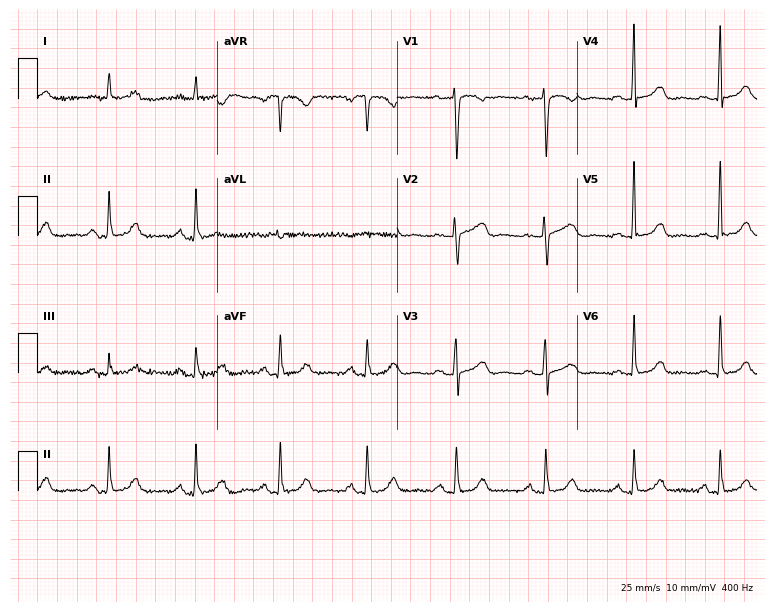
ECG (7.3-second recording at 400 Hz) — a female patient, 70 years old. Labelled as a normal ECG.